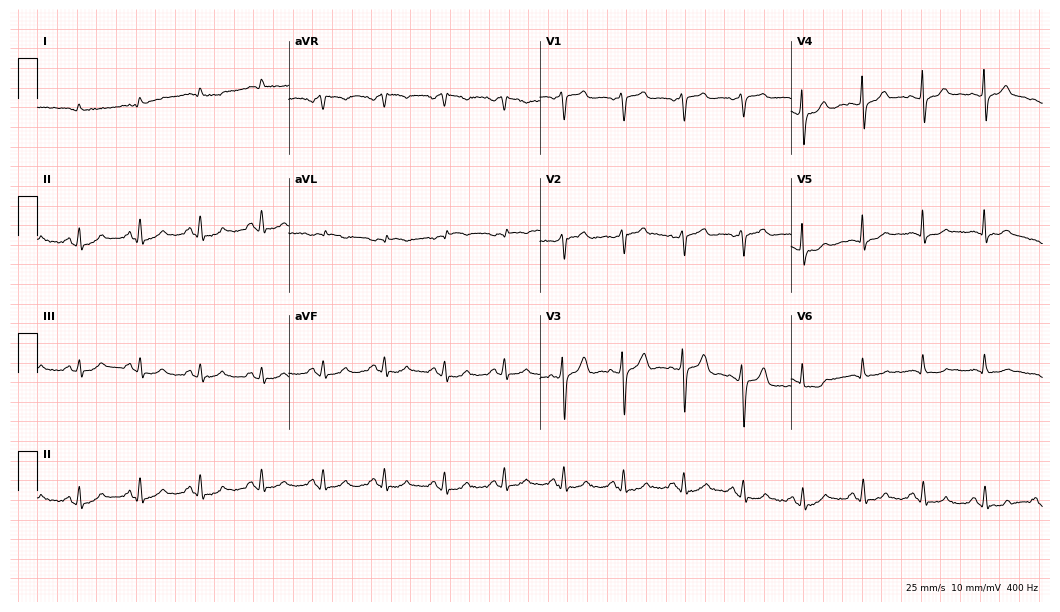
12-lead ECG (10.2-second recording at 400 Hz) from a 71-year-old male patient. Labelled as a normal ECG.